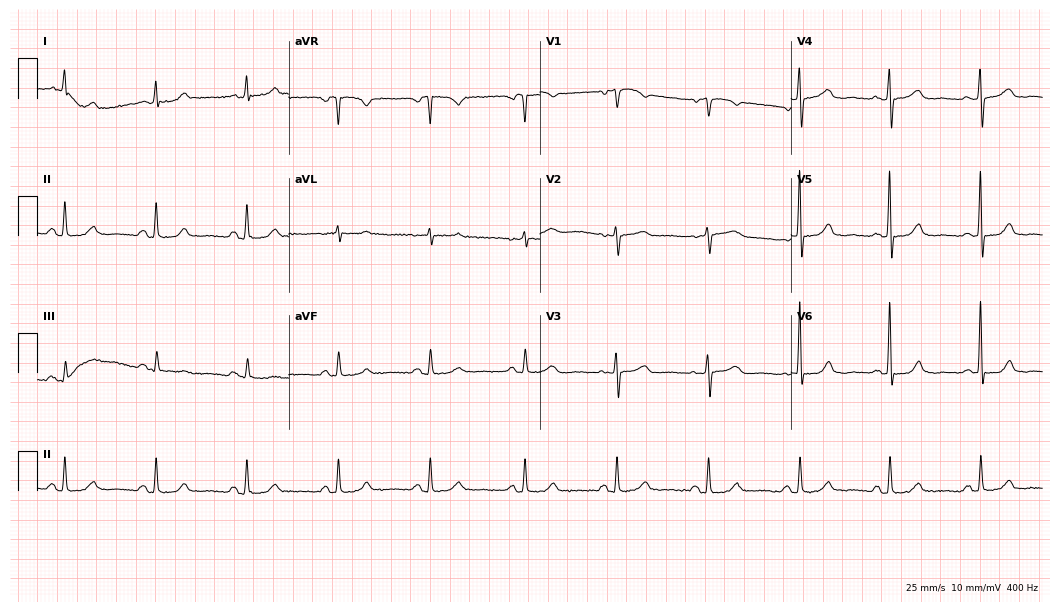
12-lead ECG (10.2-second recording at 400 Hz) from a female patient, 74 years old. Screened for six findings — first-degree AV block, right bundle branch block, left bundle branch block, sinus bradycardia, atrial fibrillation, sinus tachycardia — none is recorded. Only these six findings were labelled.